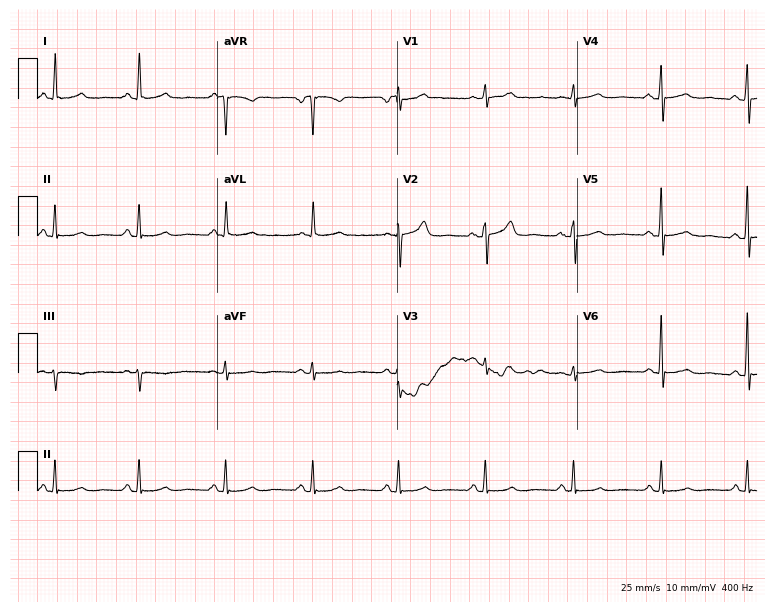
12-lead ECG from a 65-year-old woman (7.3-second recording at 400 Hz). No first-degree AV block, right bundle branch block, left bundle branch block, sinus bradycardia, atrial fibrillation or sinus tachycardia recorded for this tracing.